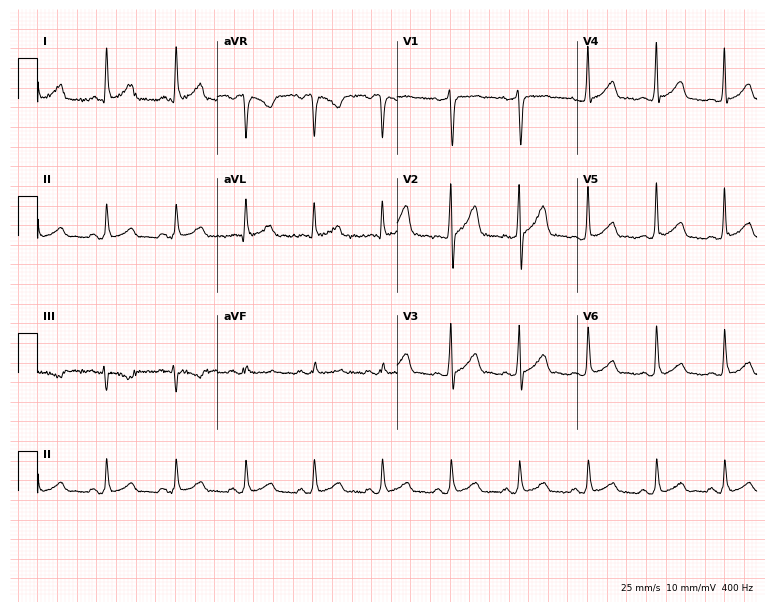
ECG (7.3-second recording at 400 Hz) — a male patient, 48 years old. Screened for six findings — first-degree AV block, right bundle branch block, left bundle branch block, sinus bradycardia, atrial fibrillation, sinus tachycardia — none is recorded.